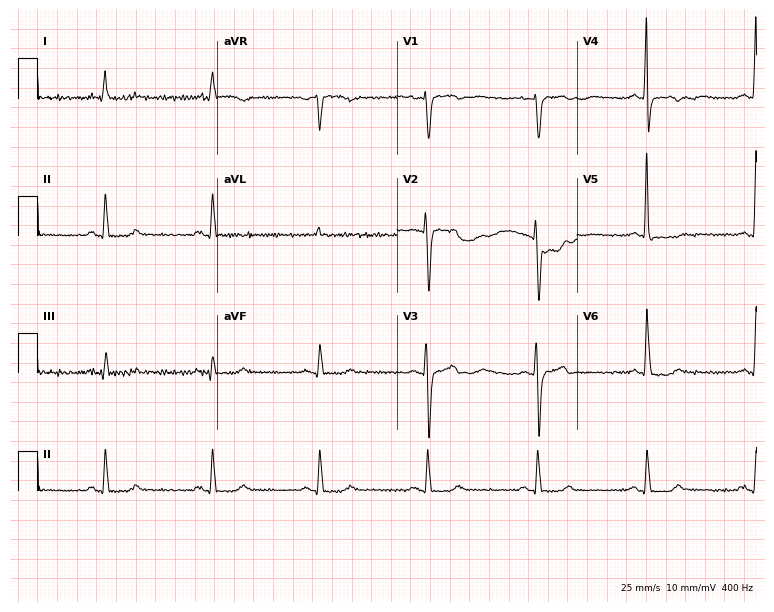
12-lead ECG (7.3-second recording at 400 Hz) from a woman, 80 years old. Screened for six findings — first-degree AV block, right bundle branch block, left bundle branch block, sinus bradycardia, atrial fibrillation, sinus tachycardia — none is recorded.